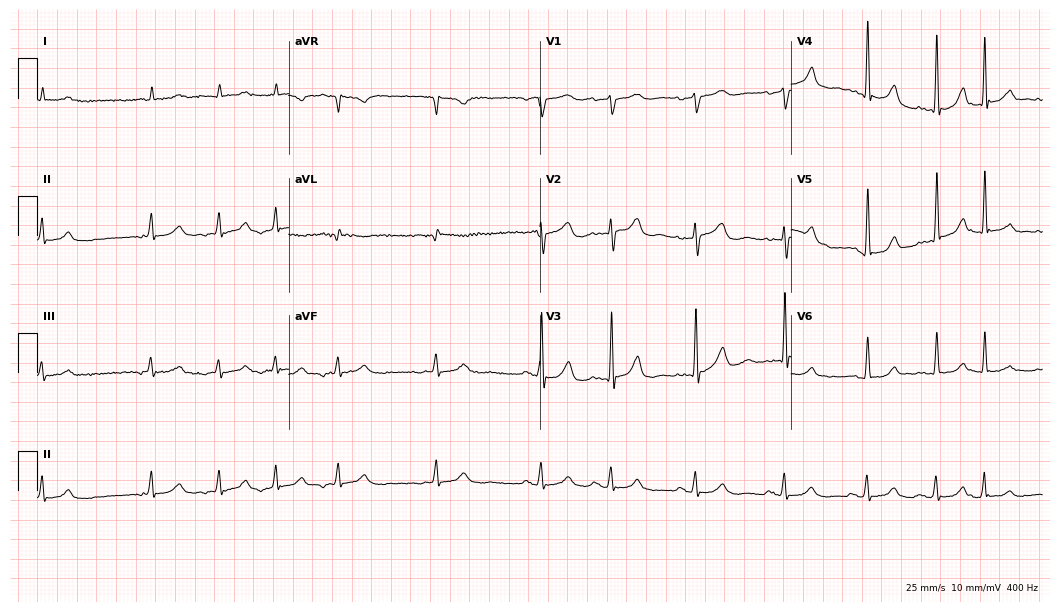
Resting 12-lead electrocardiogram. Patient: a male, 85 years old. None of these six findings is recorded: first-degree AV block, right bundle branch block, left bundle branch block, sinus bradycardia, atrial fibrillation, sinus tachycardia. Findings outside these six are not listed.